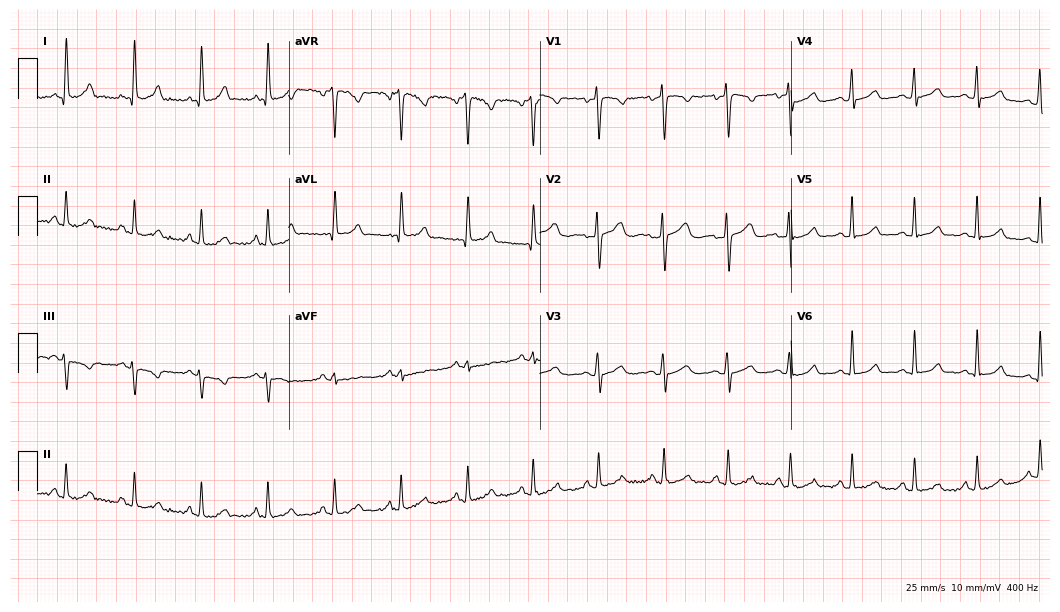
Electrocardiogram (10.2-second recording at 400 Hz), a female patient, 31 years old. Overall reading on record: normal ECG.